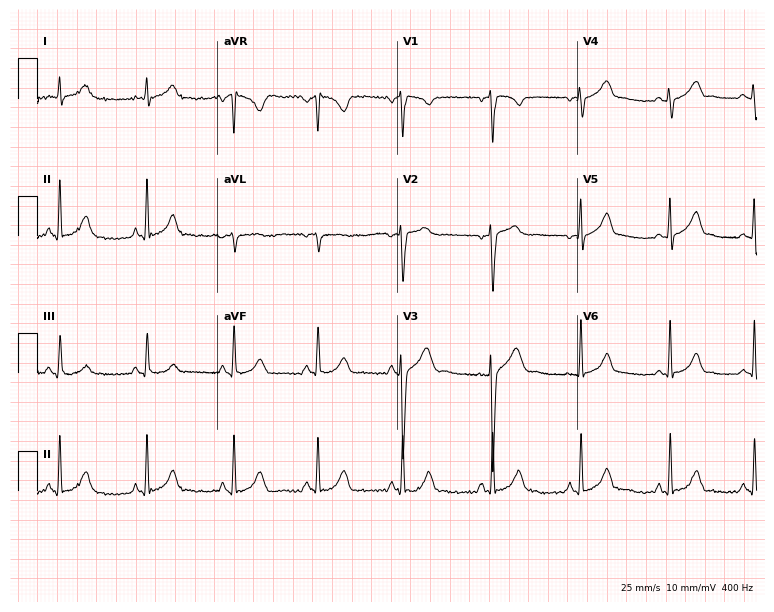
Standard 12-lead ECG recorded from a 26-year-old female patient. Read as a normal ECG.